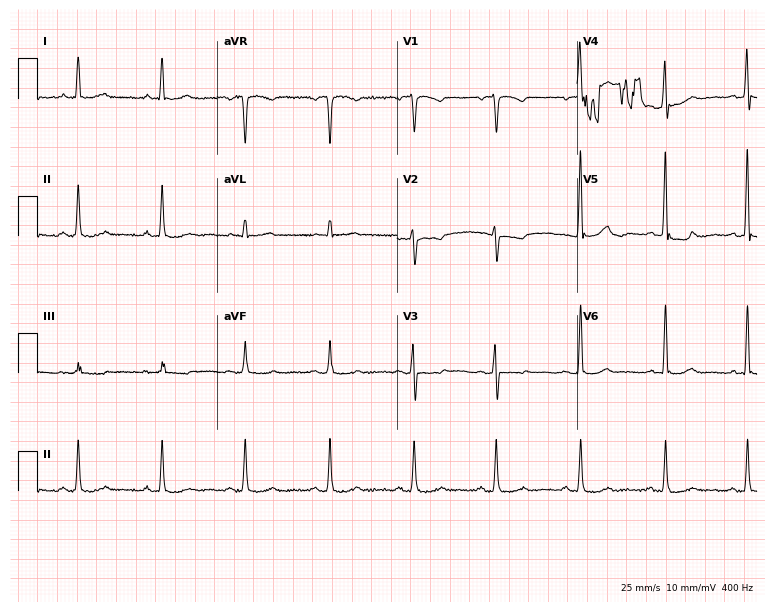
ECG — a 65-year-old female. Screened for six findings — first-degree AV block, right bundle branch block (RBBB), left bundle branch block (LBBB), sinus bradycardia, atrial fibrillation (AF), sinus tachycardia — none is recorded.